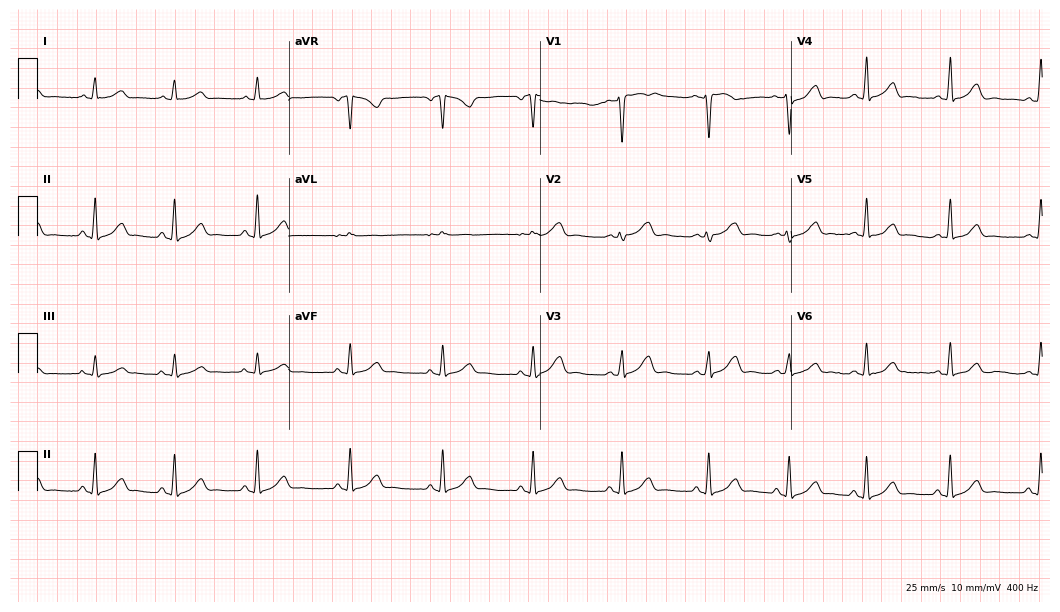
ECG — a 33-year-old female. Labelled as a normal ECG.